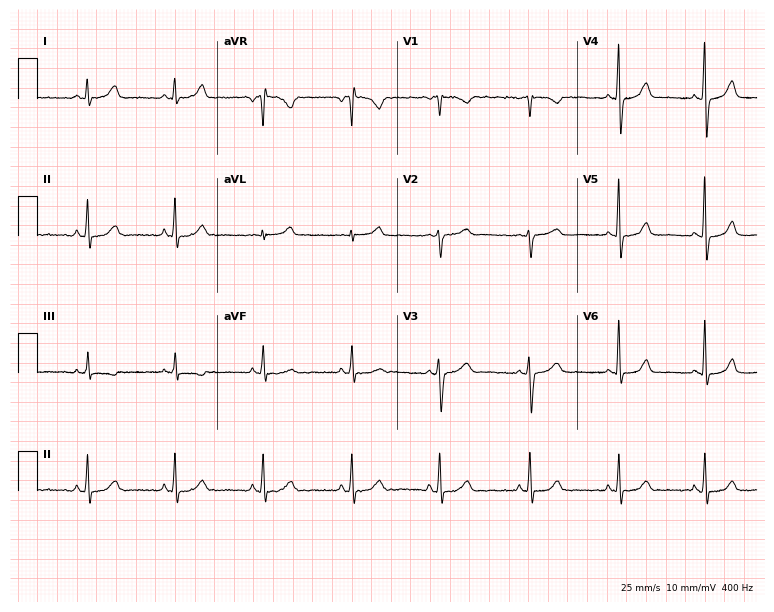
12-lead ECG (7.3-second recording at 400 Hz) from a female, 55 years old. Labelled as a normal ECG.